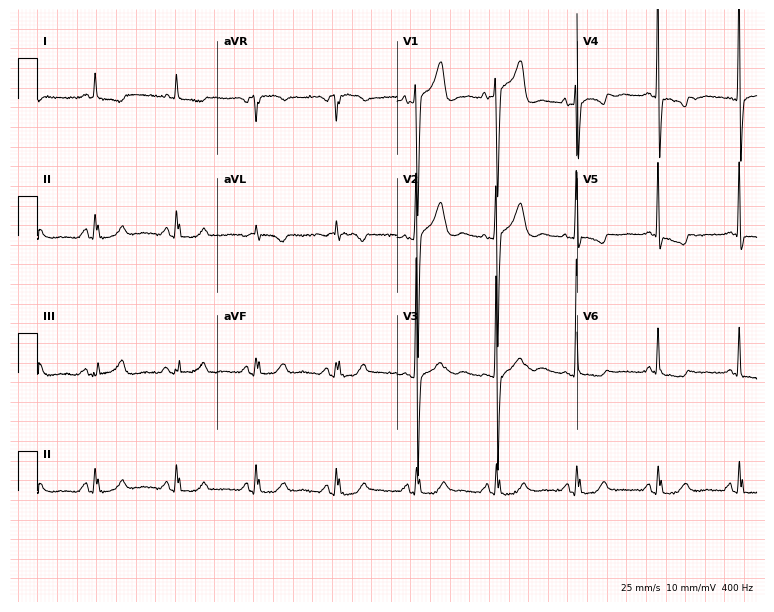
12-lead ECG (7.3-second recording at 400 Hz) from a 79-year-old male patient. Screened for six findings — first-degree AV block, right bundle branch block, left bundle branch block, sinus bradycardia, atrial fibrillation, sinus tachycardia — none is recorded. Other findings, if any, are not listed.